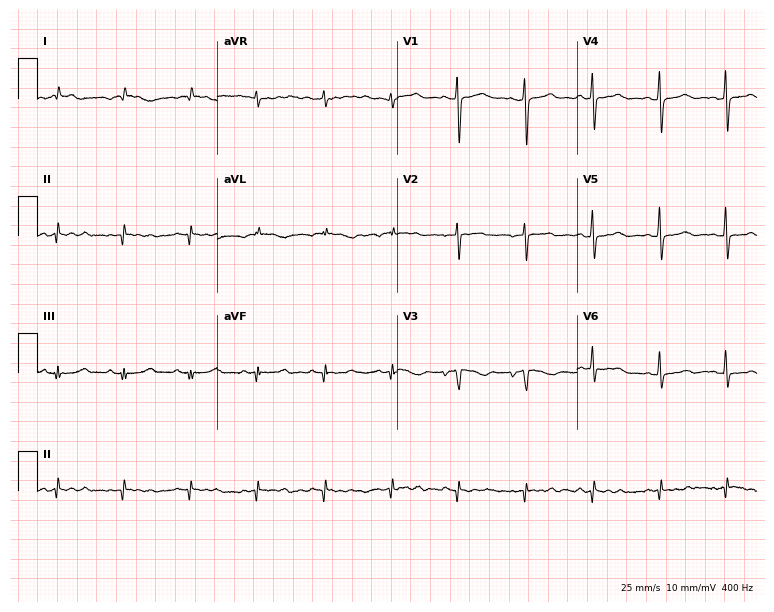
12-lead ECG from a 64-year-old female. Screened for six findings — first-degree AV block, right bundle branch block, left bundle branch block, sinus bradycardia, atrial fibrillation, sinus tachycardia — none is recorded. Findings outside these six are not listed.